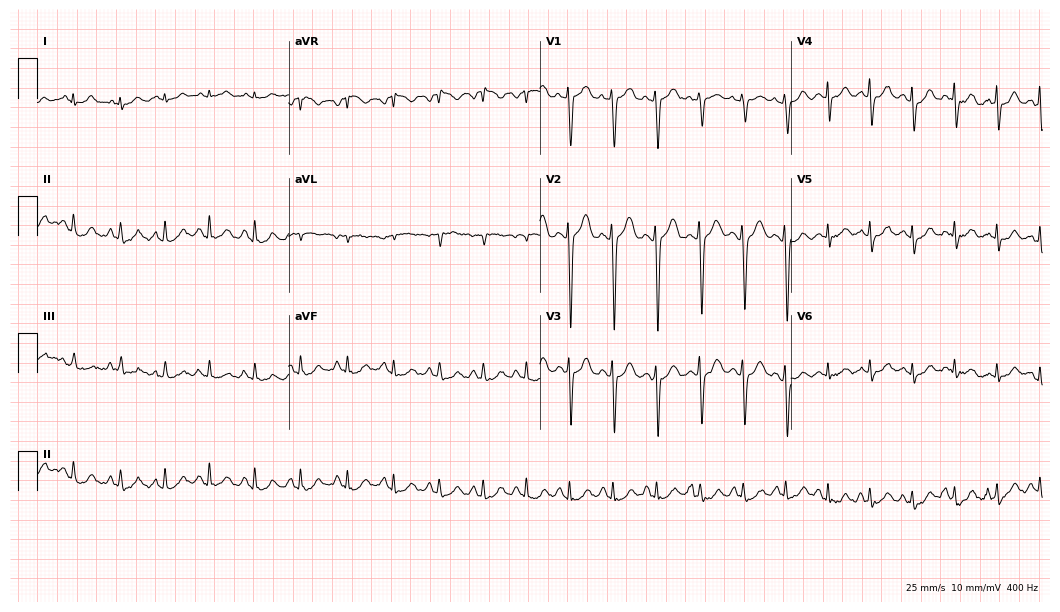
ECG (10.2-second recording at 400 Hz) — a female patient, 24 years old. Findings include sinus tachycardia (a sinus rate of 100 beats per minute or more).